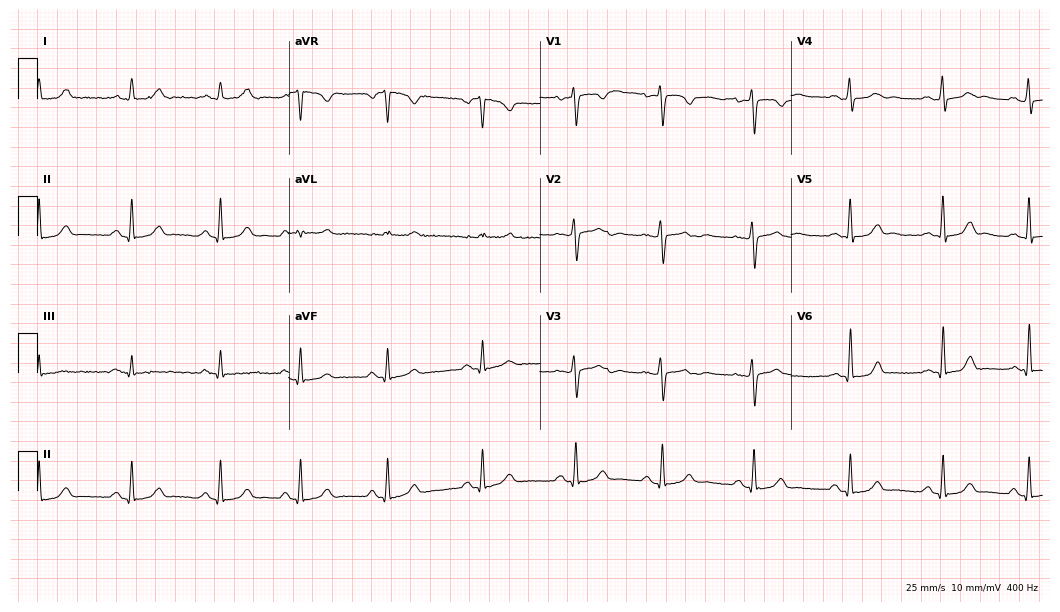
Electrocardiogram (10.2-second recording at 400 Hz), a female, 32 years old. Overall reading on record: normal ECG.